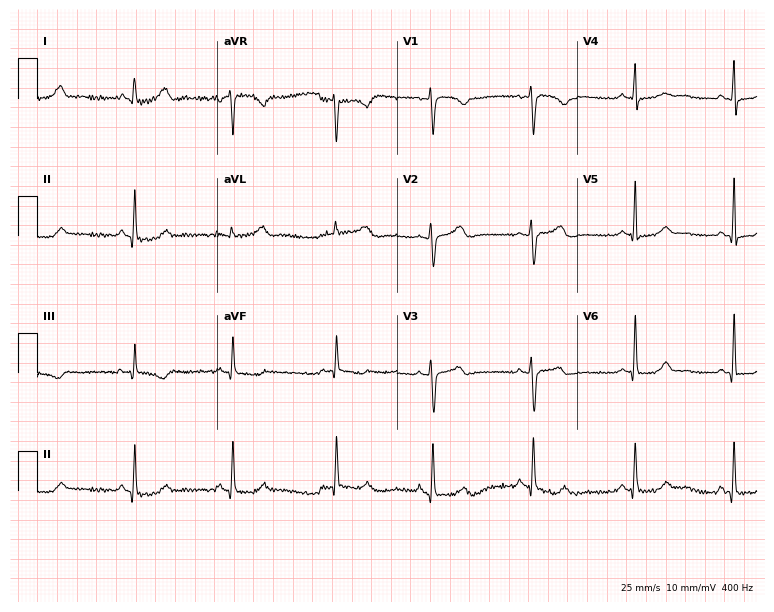
Resting 12-lead electrocardiogram (7.3-second recording at 400 Hz). Patient: a 35-year-old woman. Read as a normal ECG.